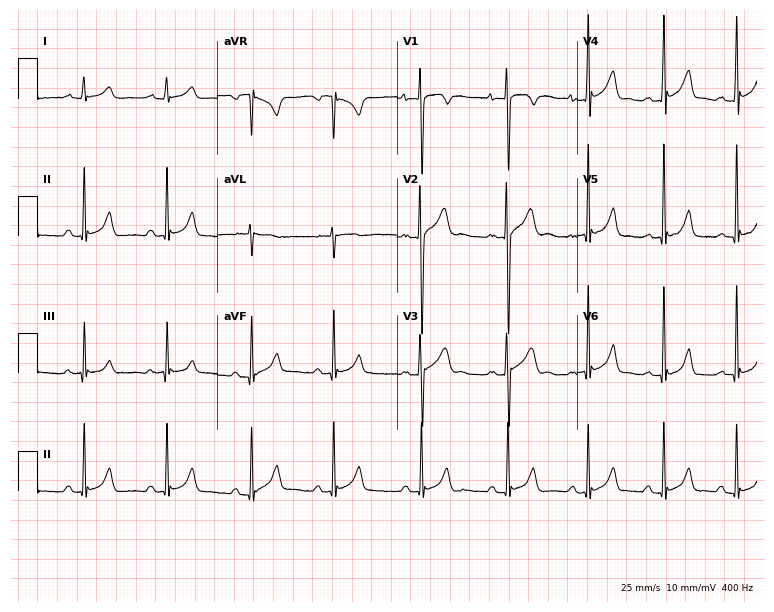
12-lead ECG (7.3-second recording at 400 Hz) from an 18-year-old female. Labelled as a normal ECG.